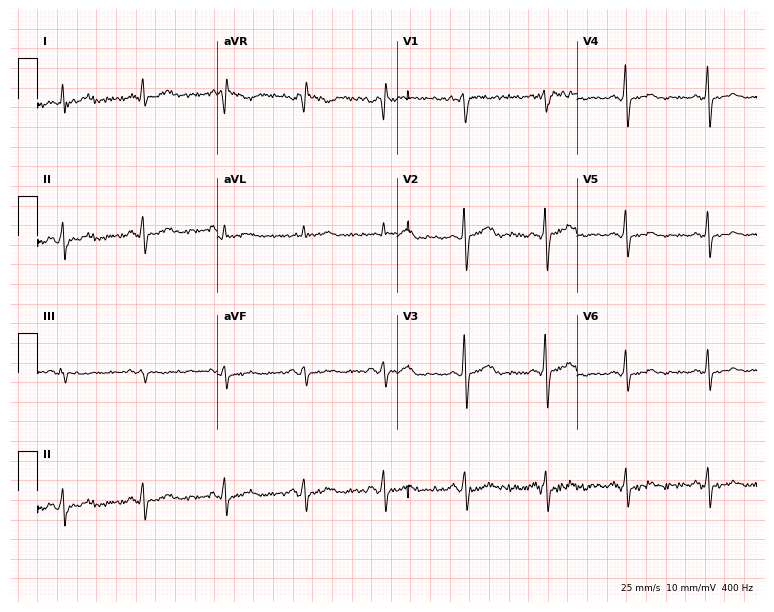
12-lead ECG (7.3-second recording at 400 Hz) from a 45-year-old woman. Screened for six findings — first-degree AV block, right bundle branch block (RBBB), left bundle branch block (LBBB), sinus bradycardia, atrial fibrillation (AF), sinus tachycardia — none is recorded. Findings outside these six are not listed.